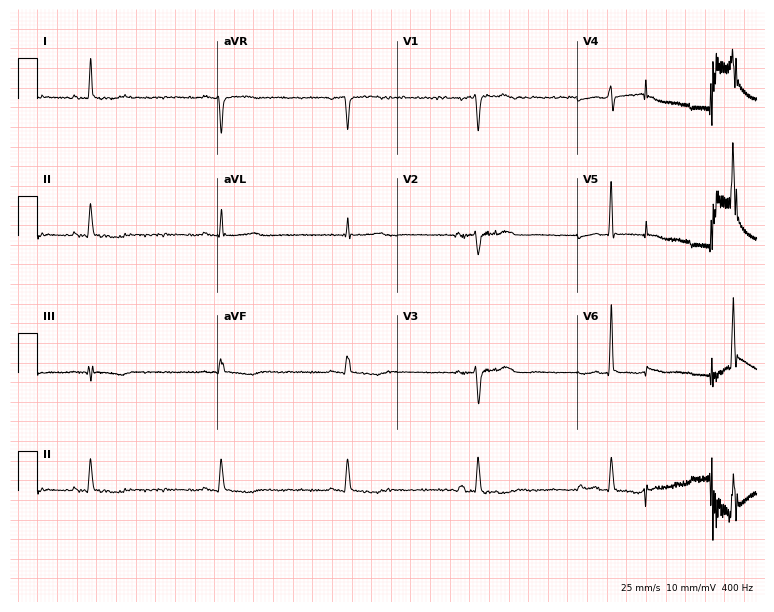
Electrocardiogram, a 61-year-old female patient. Interpretation includes sinus bradycardia (a sinus rate of 50 beats per minute or less).